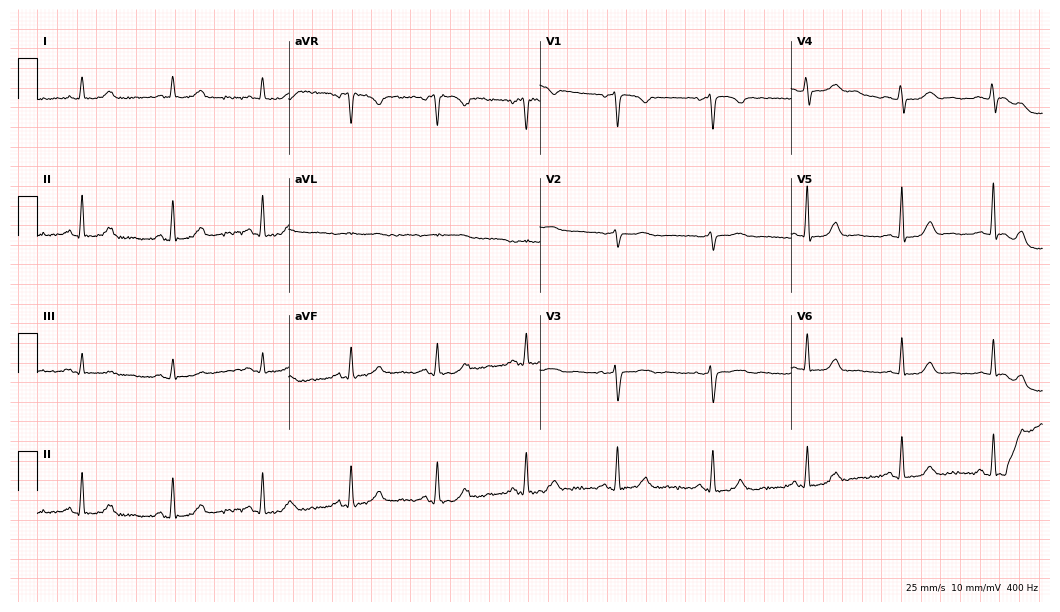
12-lead ECG (10.2-second recording at 400 Hz) from a 50-year-old female. Labelled as a normal ECG.